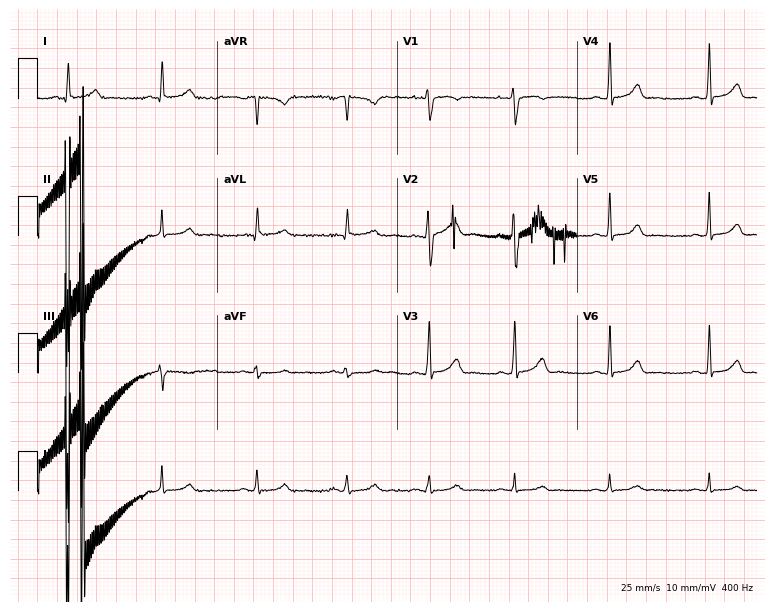
12-lead ECG (7.3-second recording at 400 Hz) from a female patient, 26 years old. Labelled as a normal ECG.